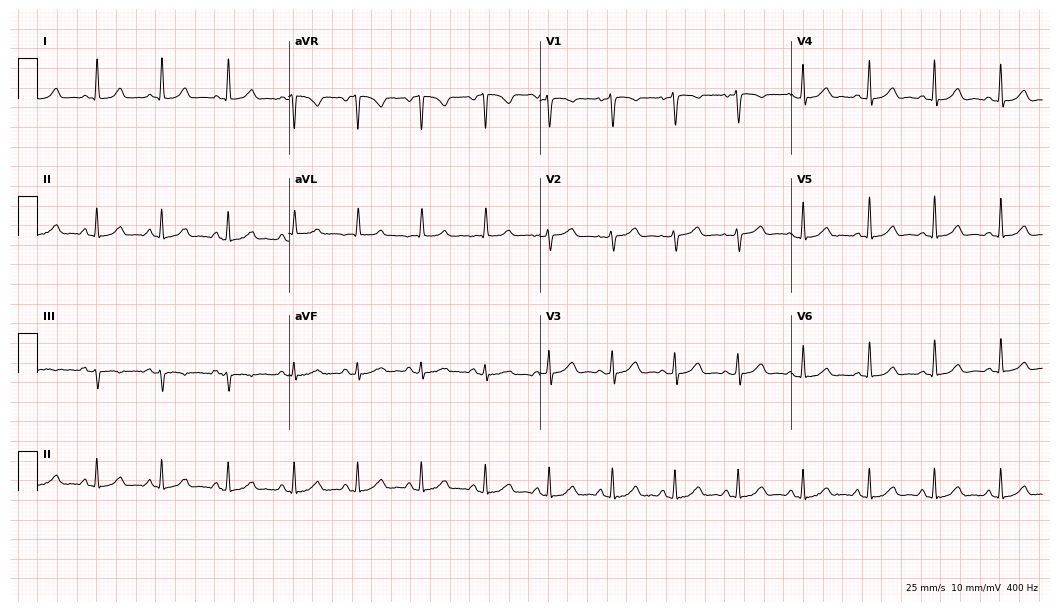
ECG — a female, 64 years old. Labelled as a normal ECG.